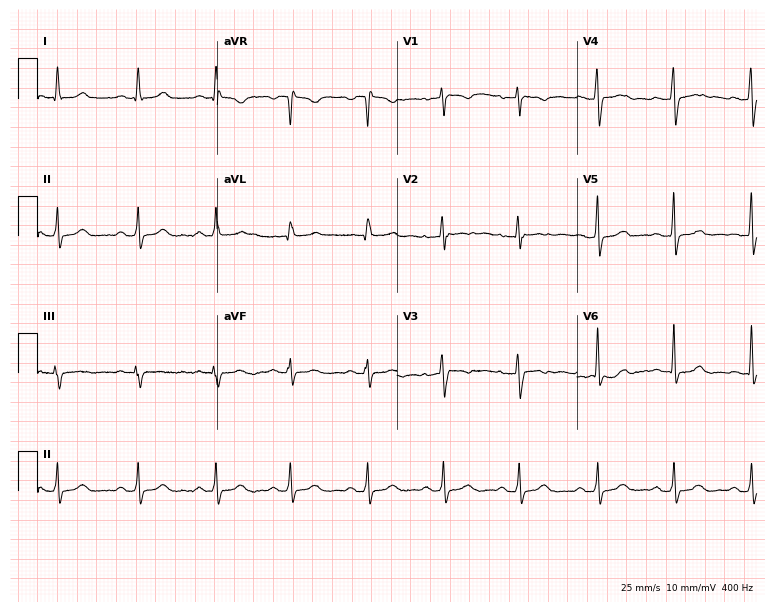
12-lead ECG from a female, 35 years old (7.3-second recording at 400 Hz). Recorded interpretation: within normal limits.